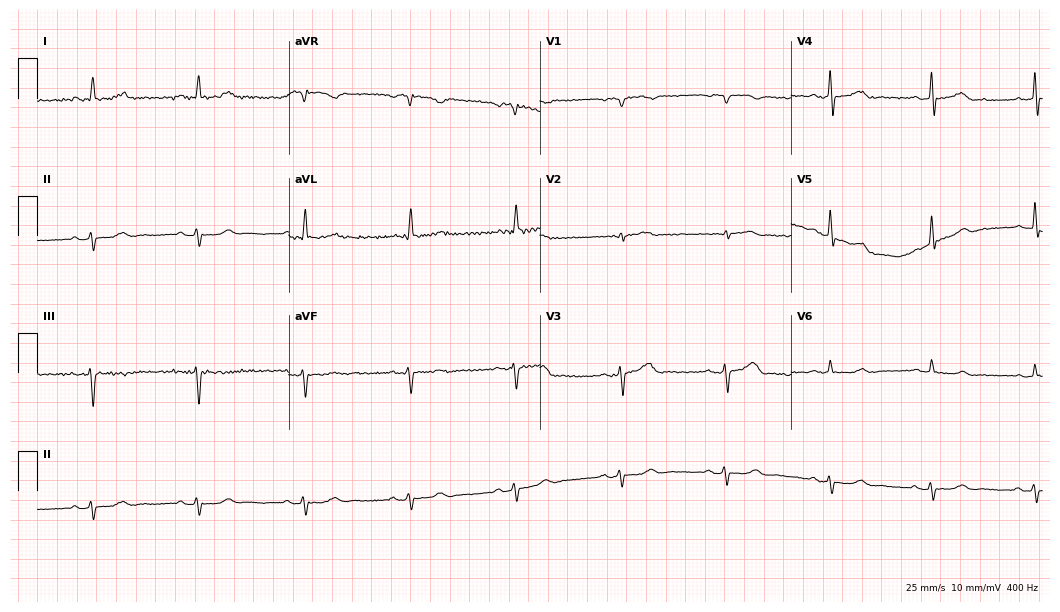
Resting 12-lead electrocardiogram. Patient: an 85-year-old male. None of these six findings is recorded: first-degree AV block, right bundle branch block, left bundle branch block, sinus bradycardia, atrial fibrillation, sinus tachycardia. Only these six findings were labelled.